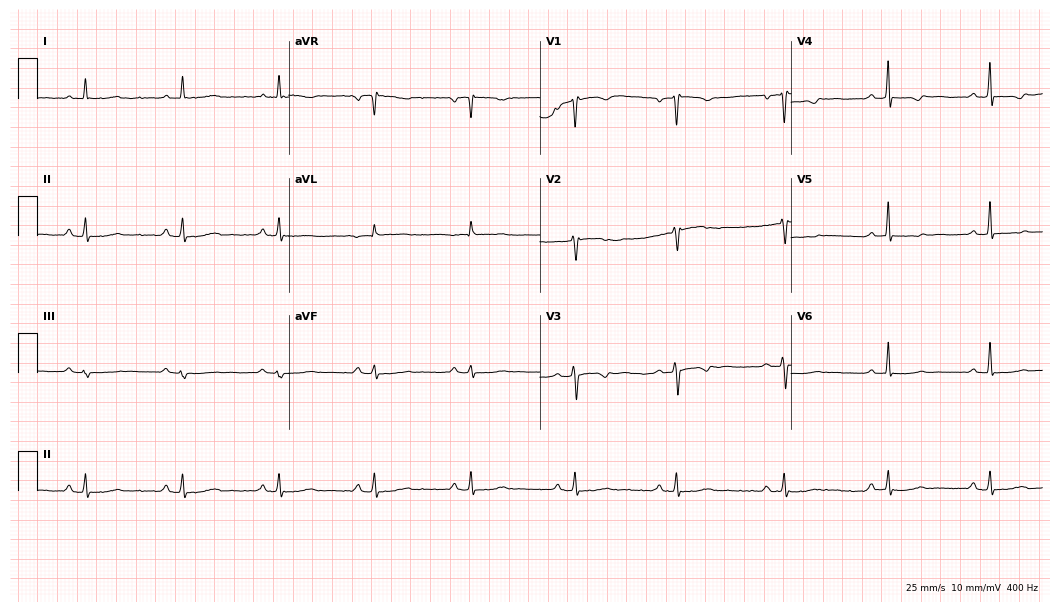
12-lead ECG from a female patient, 50 years old (10.2-second recording at 400 Hz). No first-degree AV block, right bundle branch block, left bundle branch block, sinus bradycardia, atrial fibrillation or sinus tachycardia recorded for this tracing.